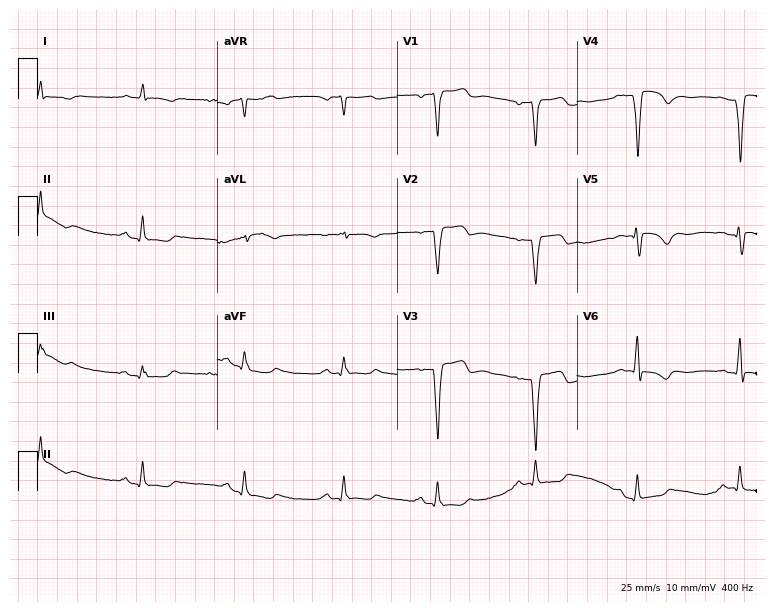
12-lead ECG from a male patient, 65 years old (7.3-second recording at 400 Hz). No first-degree AV block, right bundle branch block (RBBB), left bundle branch block (LBBB), sinus bradycardia, atrial fibrillation (AF) or sinus tachycardia recorded for this tracing. Other findings, if any, are not listed.